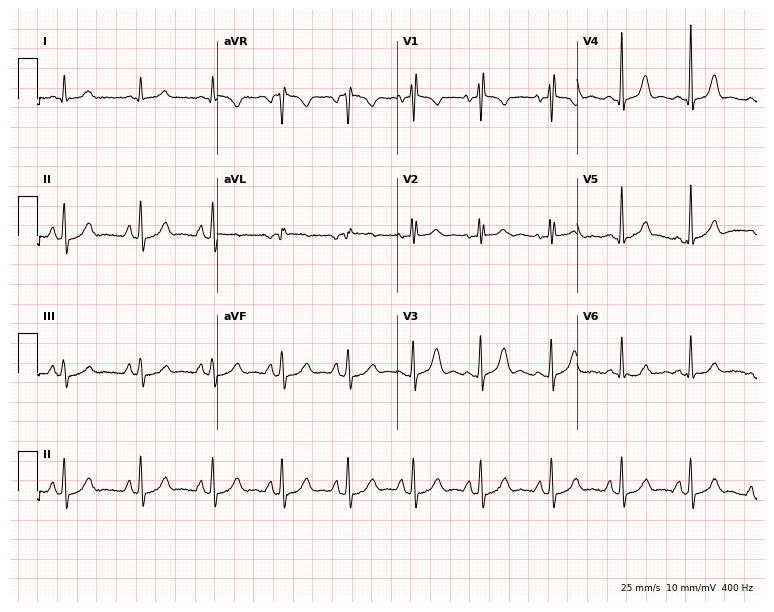
Resting 12-lead electrocardiogram (7.3-second recording at 400 Hz). Patient: a female, 28 years old. Read as a normal ECG.